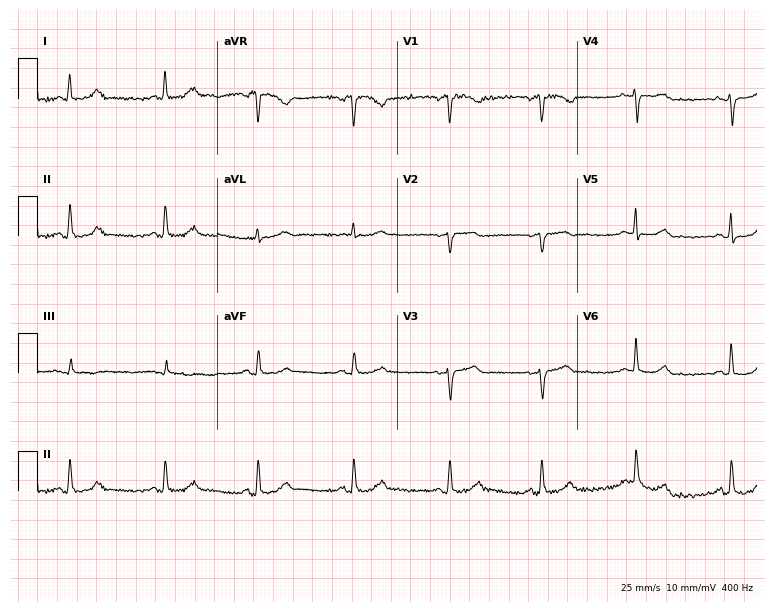
ECG (7.3-second recording at 400 Hz) — a 72-year-old woman. Labelled as a normal ECG.